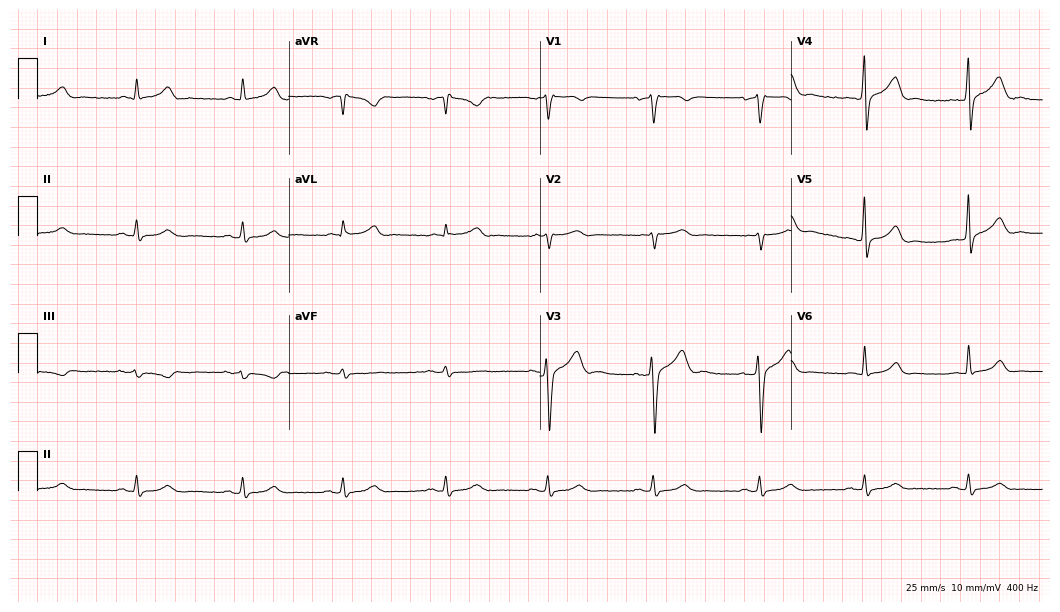
12-lead ECG (10.2-second recording at 400 Hz) from a 59-year-old male patient. Labelled as a normal ECG.